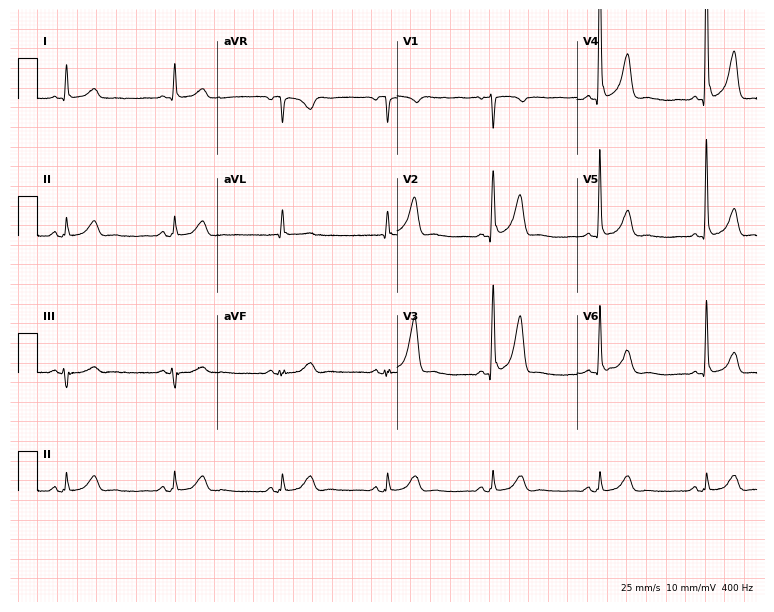
Electrocardiogram, a female patient, 78 years old. Overall reading on record: normal ECG.